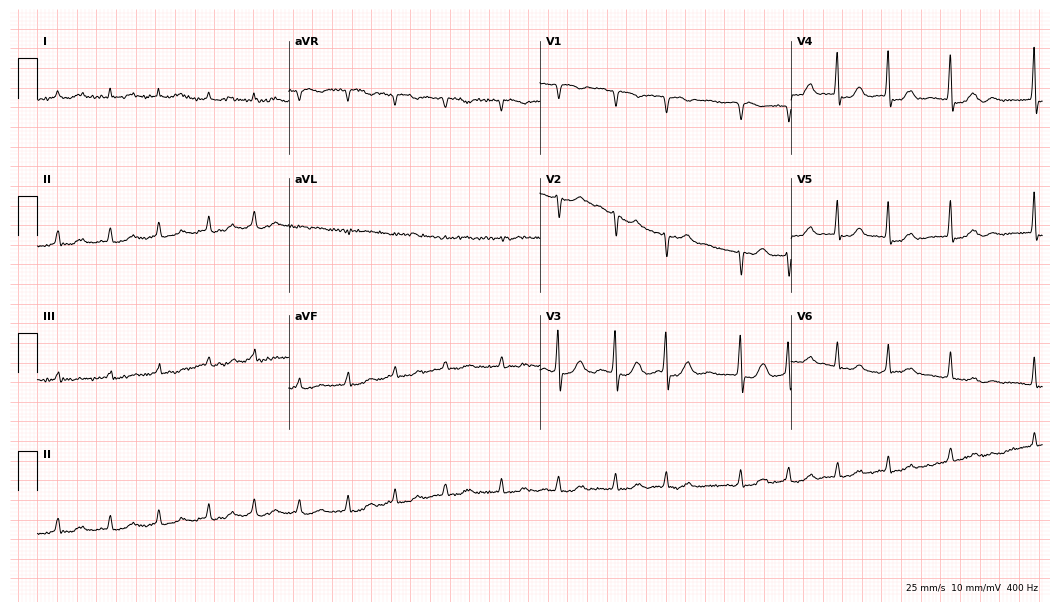
Standard 12-lead ECG recorded from an 82-year-old female. The tracing shows atrial fibrillation.